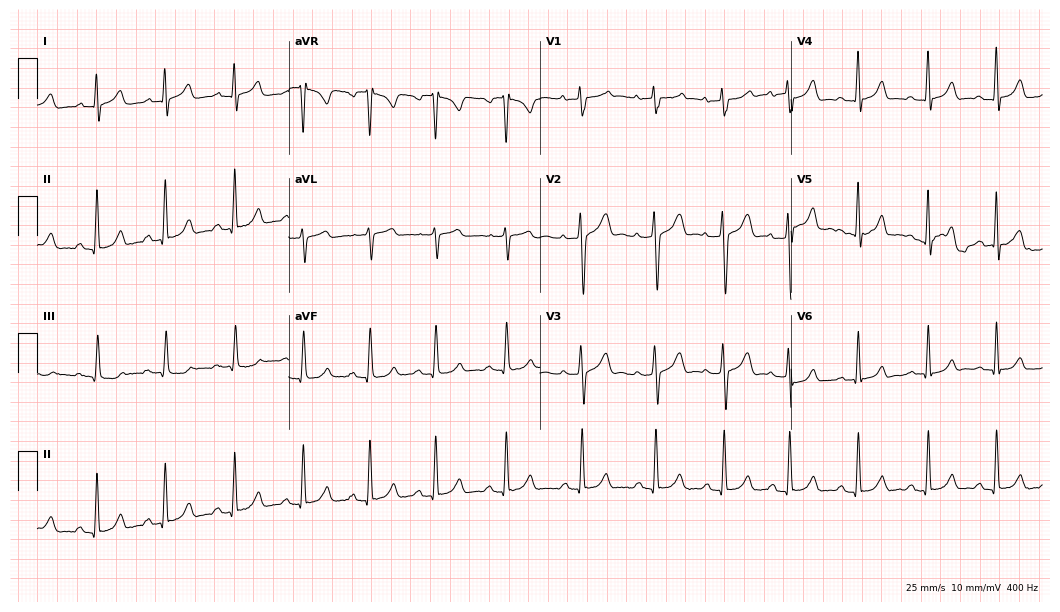
ECG (10.2-second recording at 400 Hz) — a 20-year-old female. Labelled as a normal ECG.